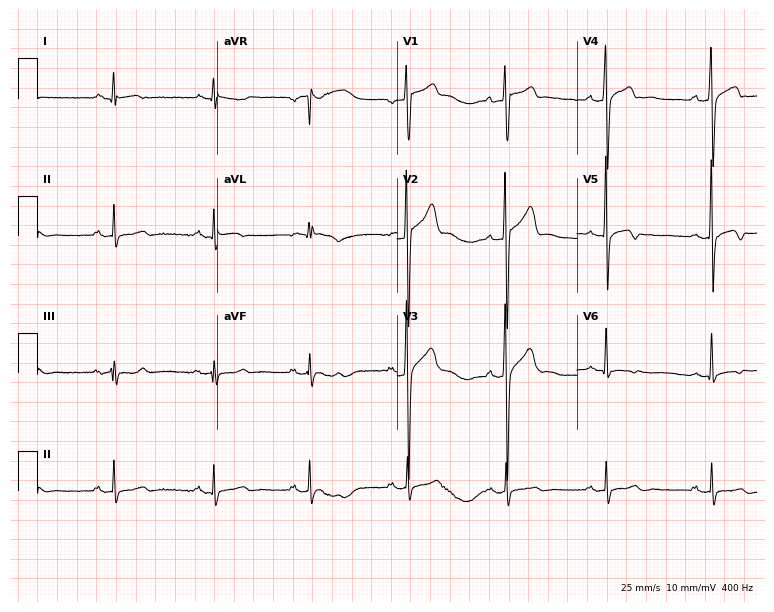
12-lead ECG from a male patient, 36 years old. No first-degree AV block, right bundle branch block, left bundle branch block, sinus bradycardia, atrial fibrillation or sinus tachycardia recorded for this tracing. Findings outside these six are not listed.